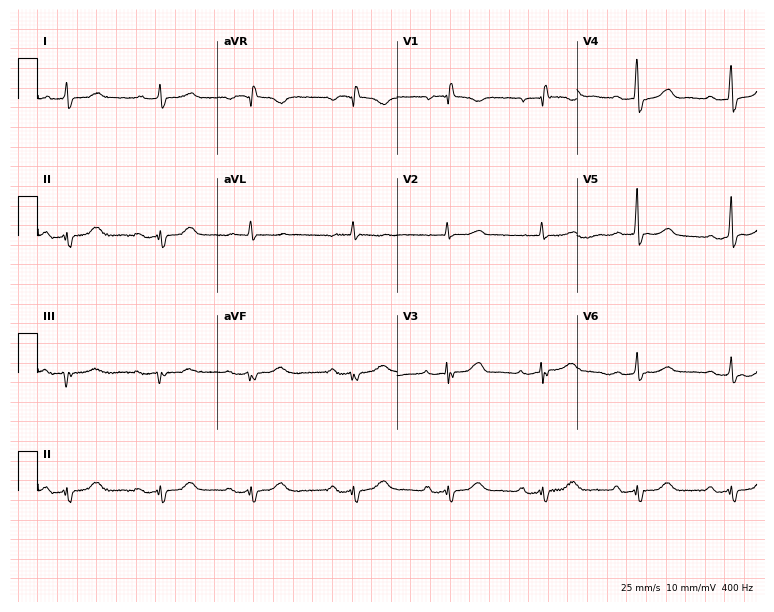
Standard 12-lead ECG recorded from an 82-year-old woman. None of these six findings is recorded: first-degree AV block, right bundle branch block, left bundle branch block, sinus bradycardia, atrial fibrillation, sinus tachycardia. Only these six findings were labelled.